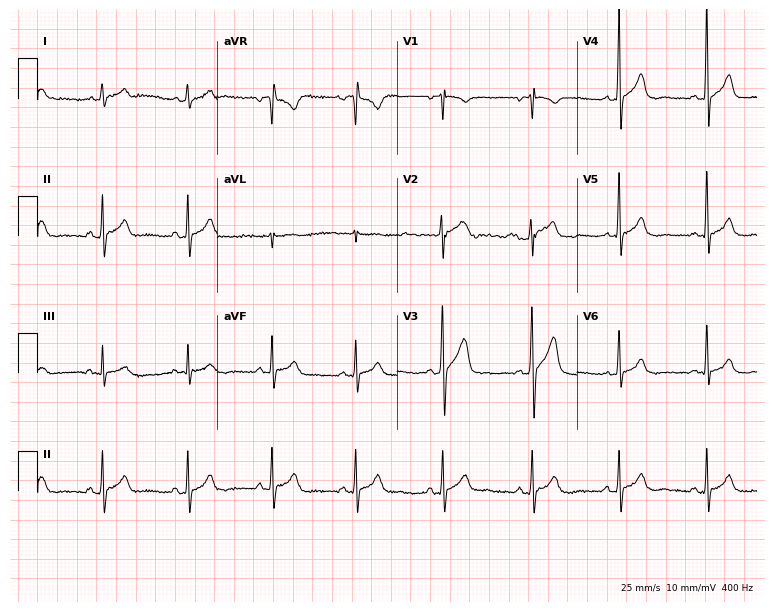
Standard 12-lead ECG recorded from a male, 36 years old. Read as a normal ECG.